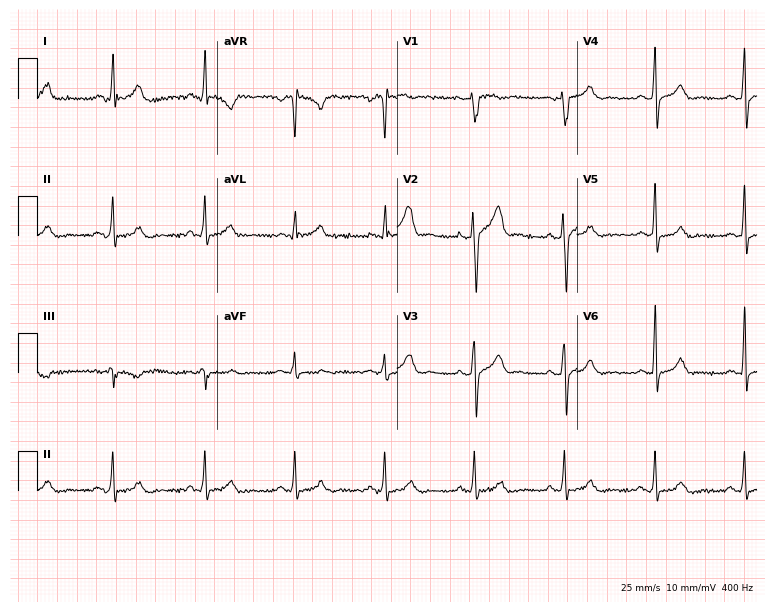
Standard 12-lead ECG recorded from a 42-year-old male patient. None of these six findings is recorded: first-degree AV block, right bundle branch block (RBBB), left bundle branch block (LBBB), sinus bradycardia, atrial fibrillation (AF), sinus tachycardia. Only these six findings were labelled.